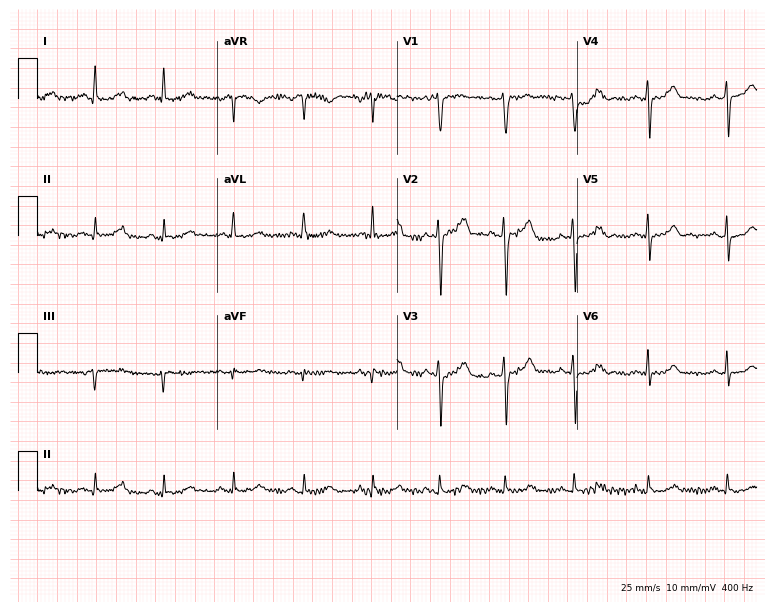
ECG (7.3-second recording at 400 Hz) — a 46-year-old man. Screened for six findings — first-degree AV block, right bundle branch block, left bundle branch block, sinus bradycardia, atrial fibrillation, sinus tachycardia — none is recorded.